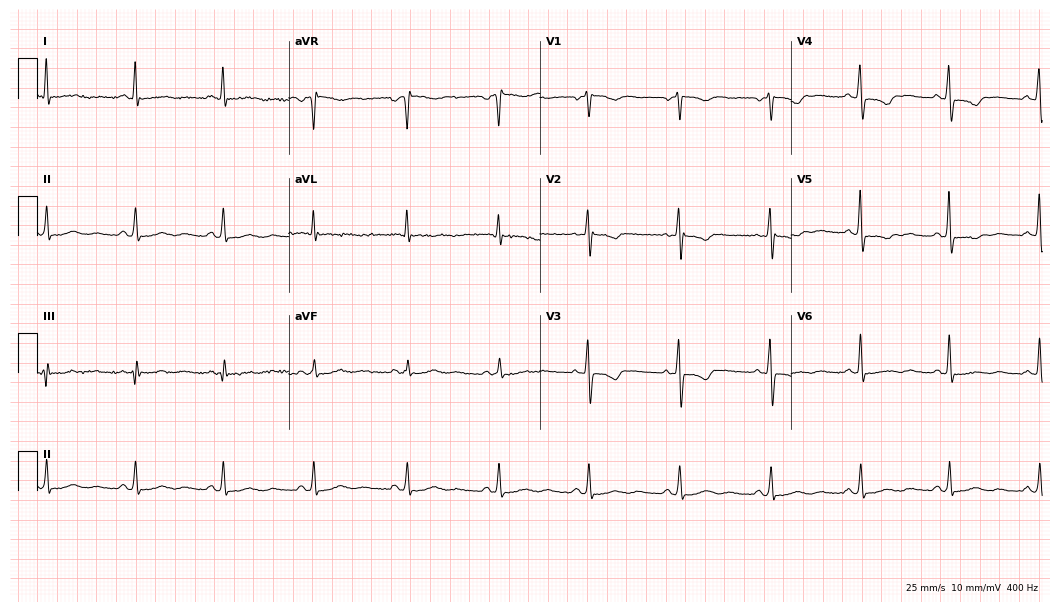
Electrocardiogram, a 50-year-old female. Of the six screened findings (first-degree AV block, right bundle branch block, left bundle branch block, sinus bradycardia, atrial fibrillation, sinus tachycardia), none is recorded.